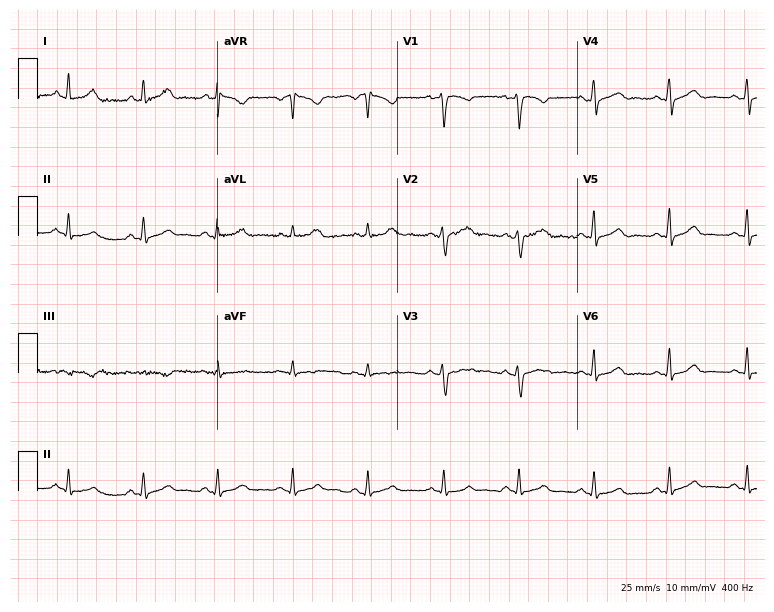
Resting 12-lead electrocardiogram (7.3-second recording at 400 Hz). Patient: a 36-year-old female. Read as a normal ECG.